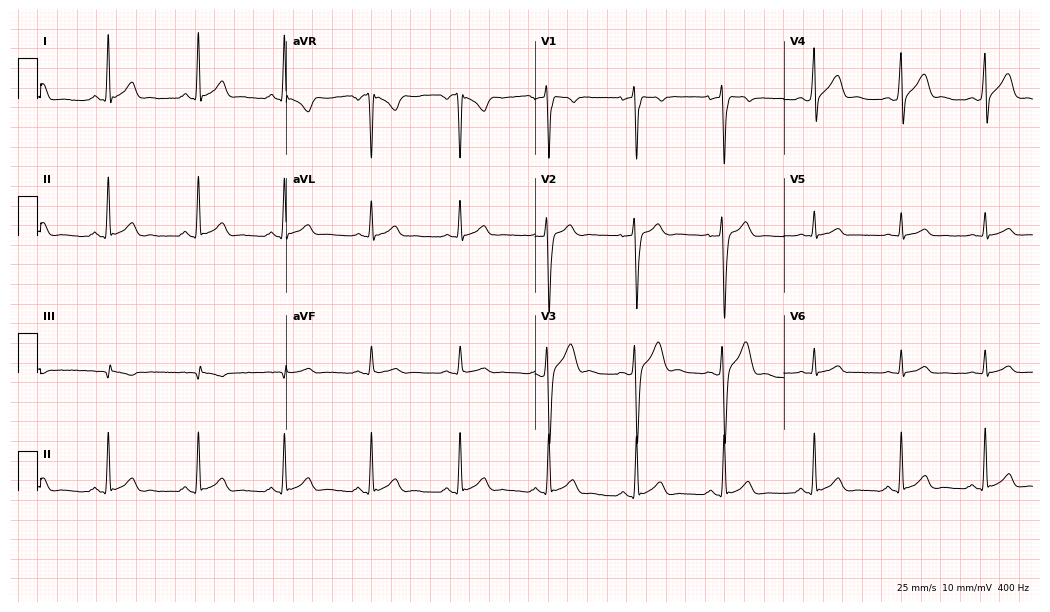
12-lead ECG (10.1-second recording at 400 Hz) from a 27-year-old male. Screened for six findings — first-degree AV block, right bundle branch block, left bundle branch block, sinus bradycardia, atrial fibrillation, sinus tachycardia — none is recorded.